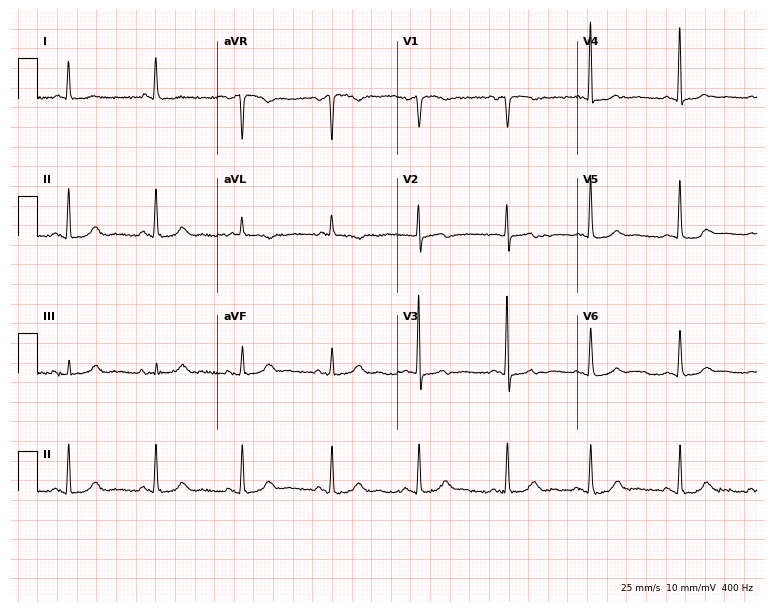
Resting 12-lead electrocardiogram. Patient: a woman, 81 years old. Read as a normal ECG.